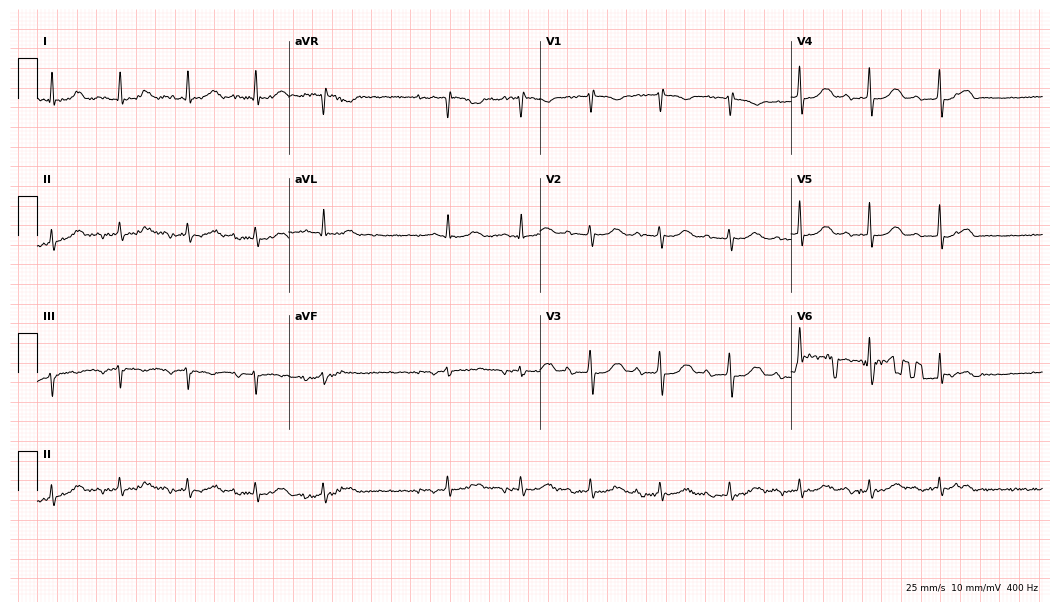
Standard 12-lead ECG recorded from a male patient, 75 years old (10.2-second recording at 400 Hz). None of these six findings is recorded: first-degree AV block, right bundle branch block (RBBB), left bundle branch block (LBBB), sinus bradycardia, atrial fibrillation (AF), sinus tachycardia. Only these six findings were labelled.